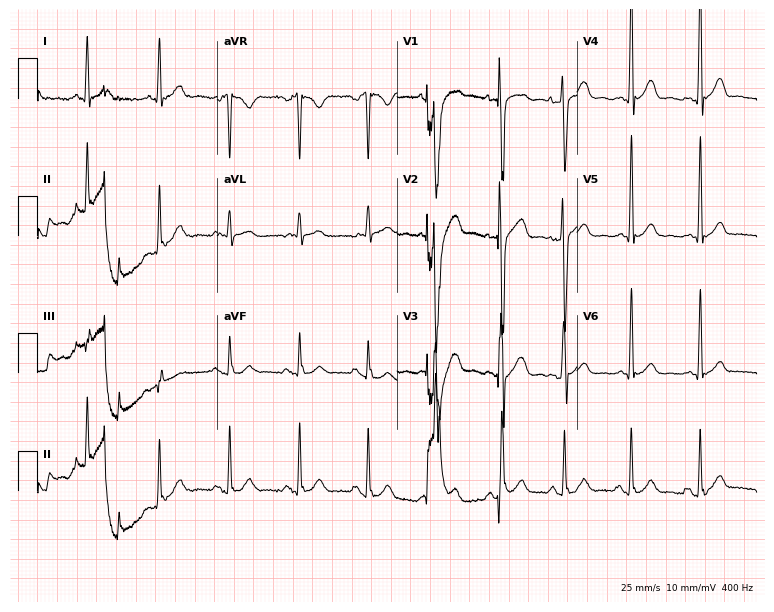
Electrocardiogram (7.3-second recording at 400 Hz), a 29-year-old male. Overall reading on record: normal ECG.